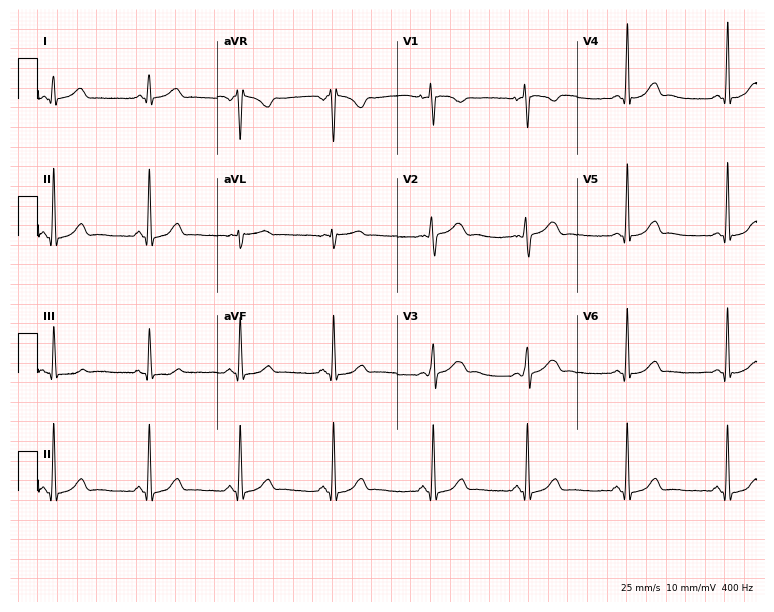
Electrocardiogram (7.3-second recording at 400 Hz), a 25-year-old female patient. Of the six screened findings (first-degree AV block, right bundle branch block, left bundle branch block, sinus bradycardia, atrial fibrillation, sinus tachycardia), none is recorded. Other findings, if any, are not listed.